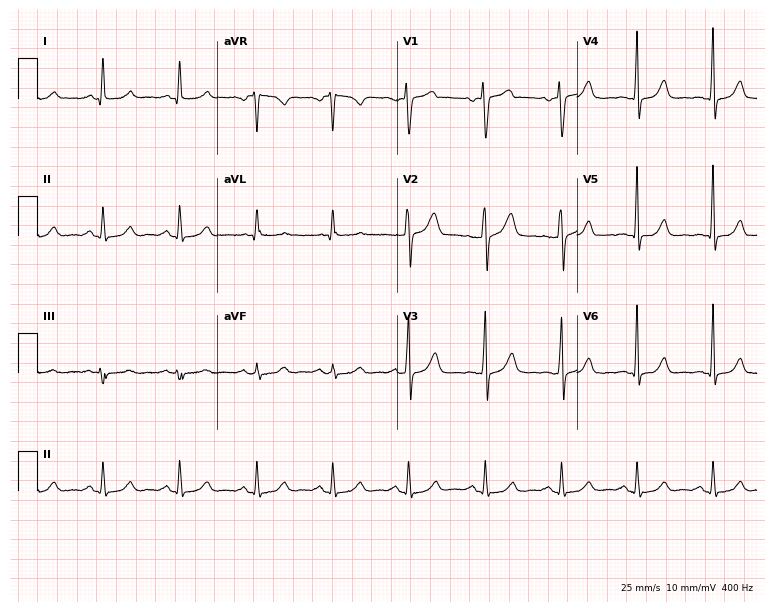
Resting 12-lead electrocardiogram (7.3-second recording at 400 Hz). Patient: a 51-year-old female. Read as a normal ECG.